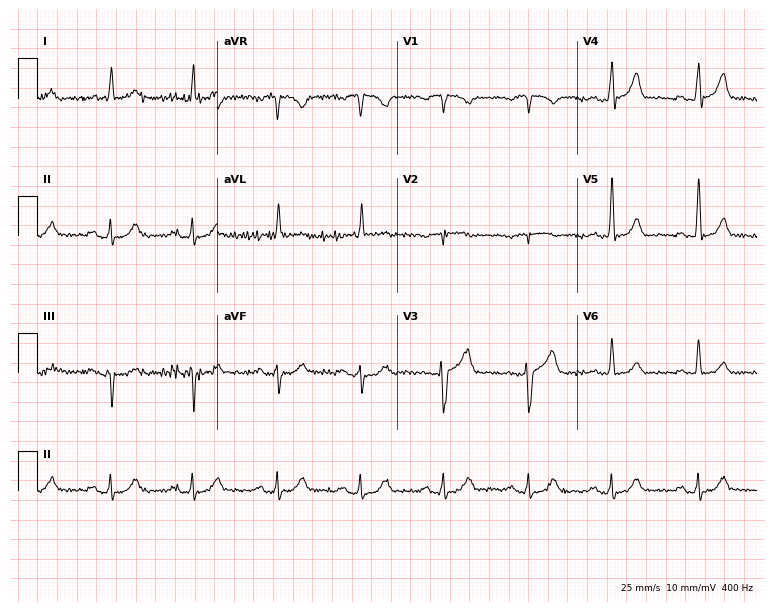
Electrocardiogram, a male, 79 years old. Of the six screened findings (first-degree AV block, right bundle branch block (RBBB), left bundle branch block (LBBB), sinus bradycardia, atrial fibrillation (AF), sinus tachycardia), none is recorded.